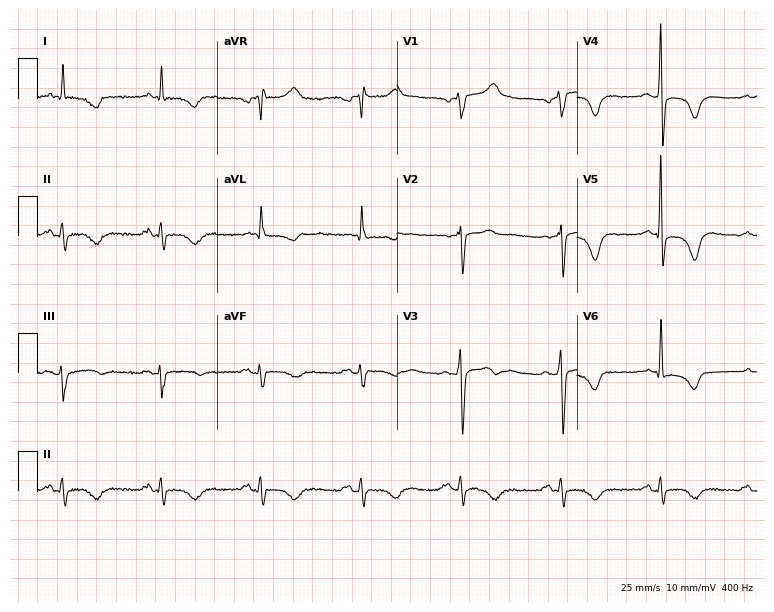
ECG (7.3-second recording at 400 Hz) — a 67-year-old male patient. Screened for six findings — first-degree AV block, right bundle branch block (RBBB), left bundle branch block (LBBB), sinus bradycardia, atrial fibrillation (AF), sinus tachycardia — none is recorded.